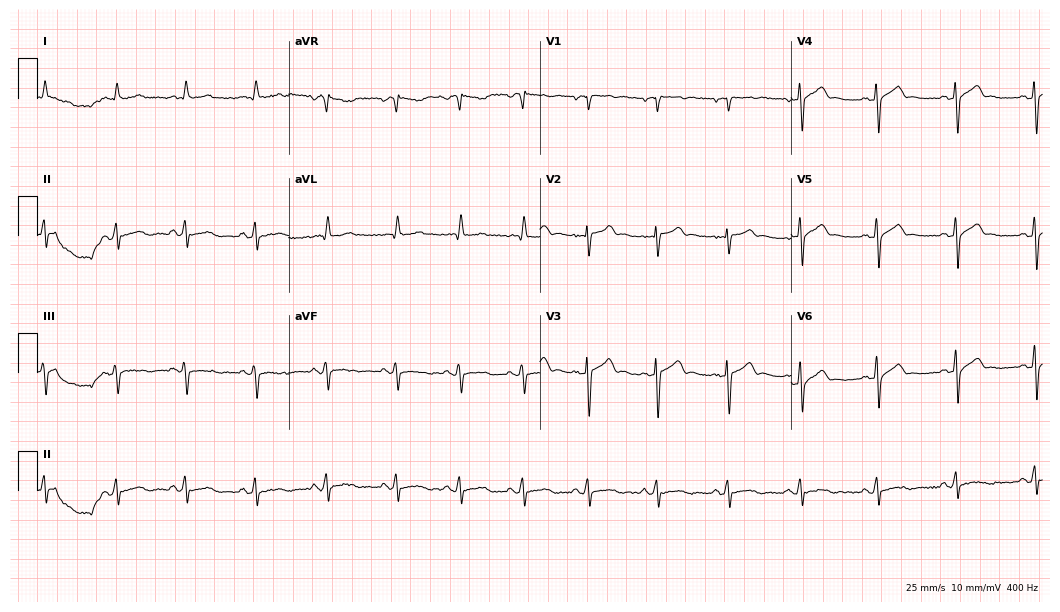
12-lead ECG from a 42-year-old man. Screened for six findings — first-degree AV block, right bundle branch block (RBBB), left bundle branch block (LBBB), sinus bradycardia, atrial fibrillation (AF), sinus tachycardia — none is recorded. Other findings, if any, are not listed.